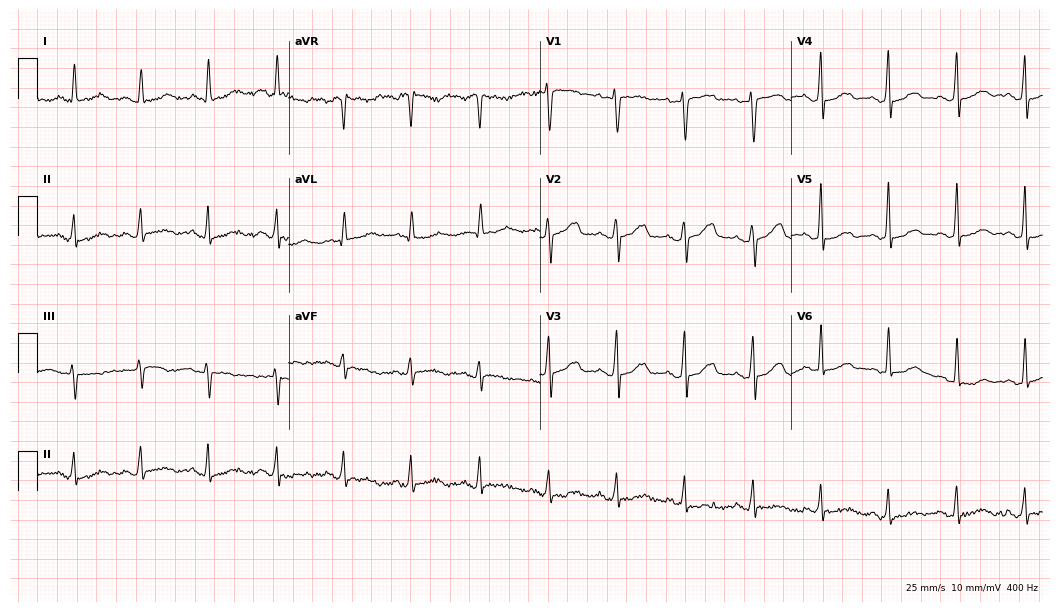
Standard 12-lead ECG recorded from a female, 66 years old. Read as a normal ECG.